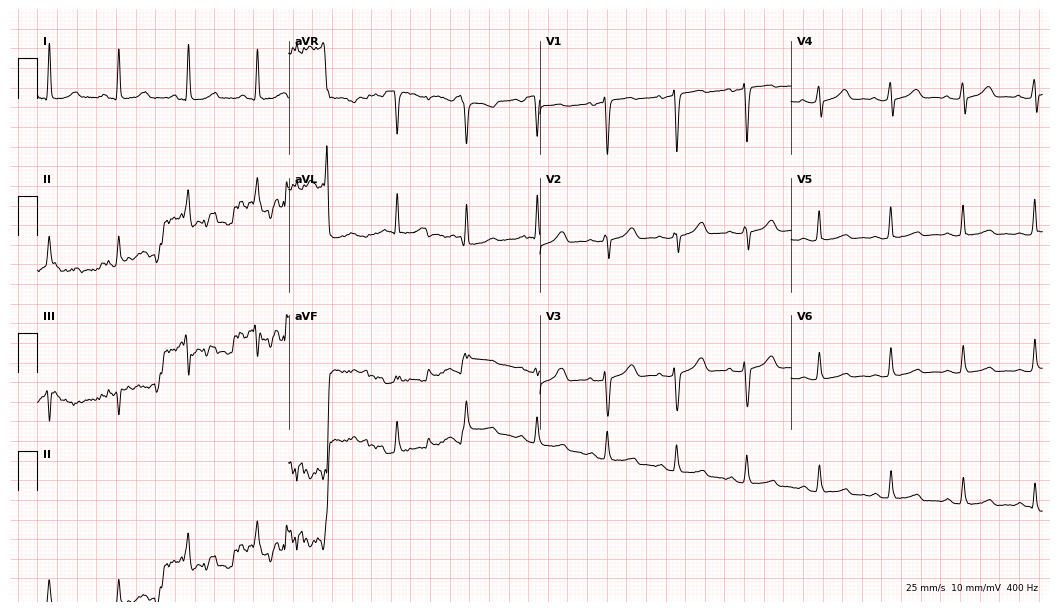
ECG (10.2-second recording at 400 Hz) — a woman, 45 years old. Screened for six findings — first-degree AV block, right bundle branch block, left bundle branch block, sinus bradycardia, atrial fibrillation, sinus tachycardia — none is recorded.